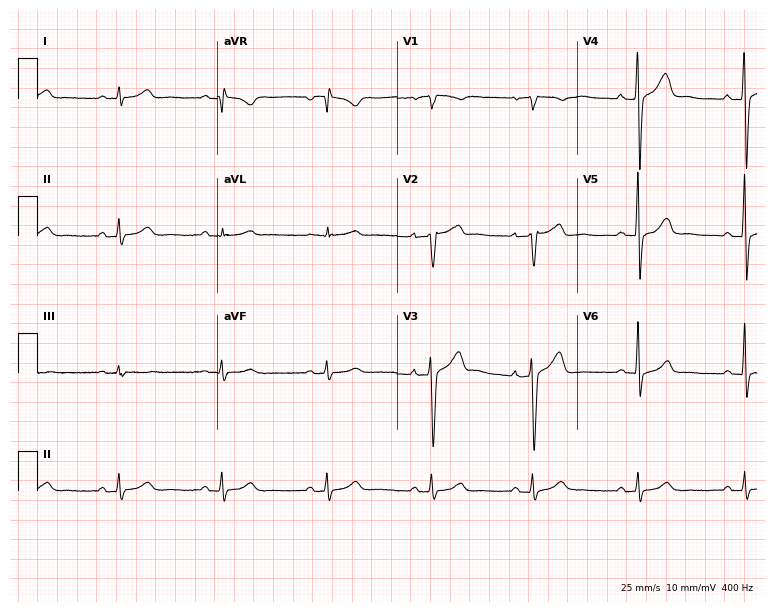
ECG (7.3-second recording at 400 Hz) — a male patient, 48 years old. Screened for six findings — first-degree AV block, right bundle branch block, left bundle branch block, sinus bradycardia, atrial fibrillation, sinus tachycardia — none is recorded. Findings outside these six are not listed.